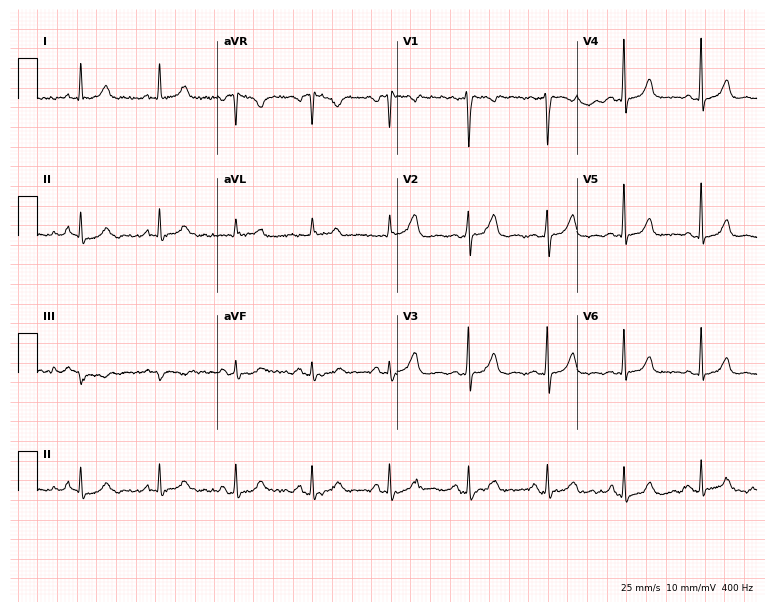
ECG — a woman, 53 years old. Labelled as a normal ECG.